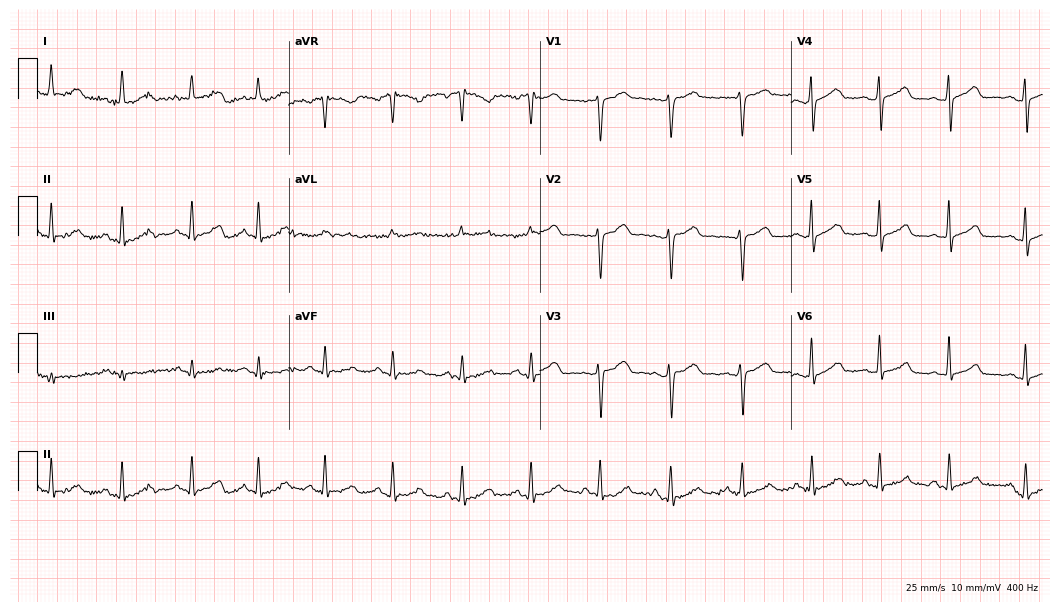
12-lead ECG from a 55-year-old woman. Labelled as a normal ECG.